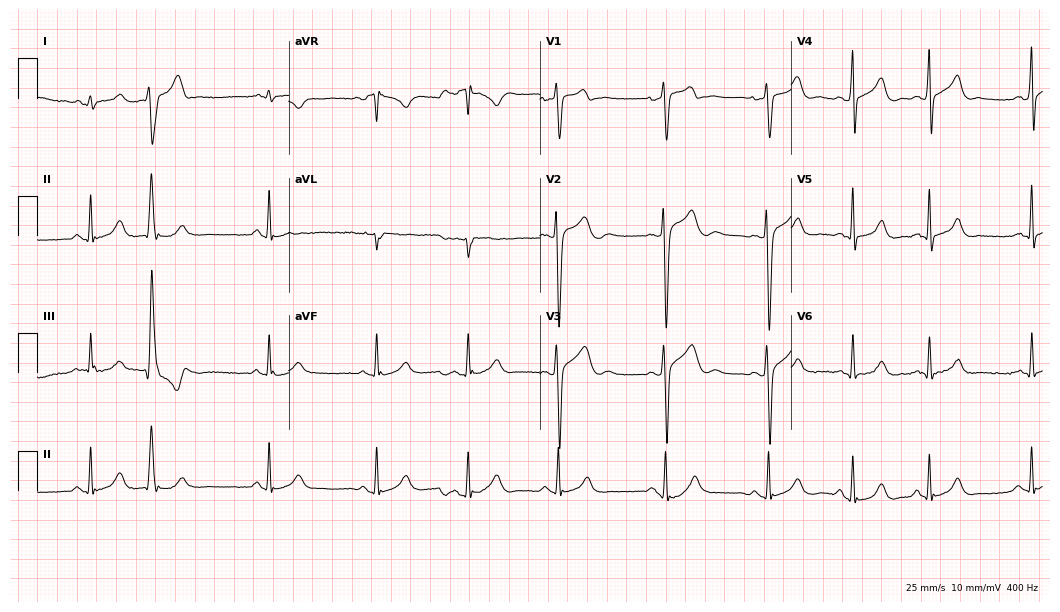
12-lead ECG (10.2-second recording at 400 Hz) from a male patient, 18 years old. Screened for six findings — first-degree AV block, right bundle branch block, left bundle branch block, sinus bradycardia, atrial fibrillation, sinus tachycardia — none is recorded.